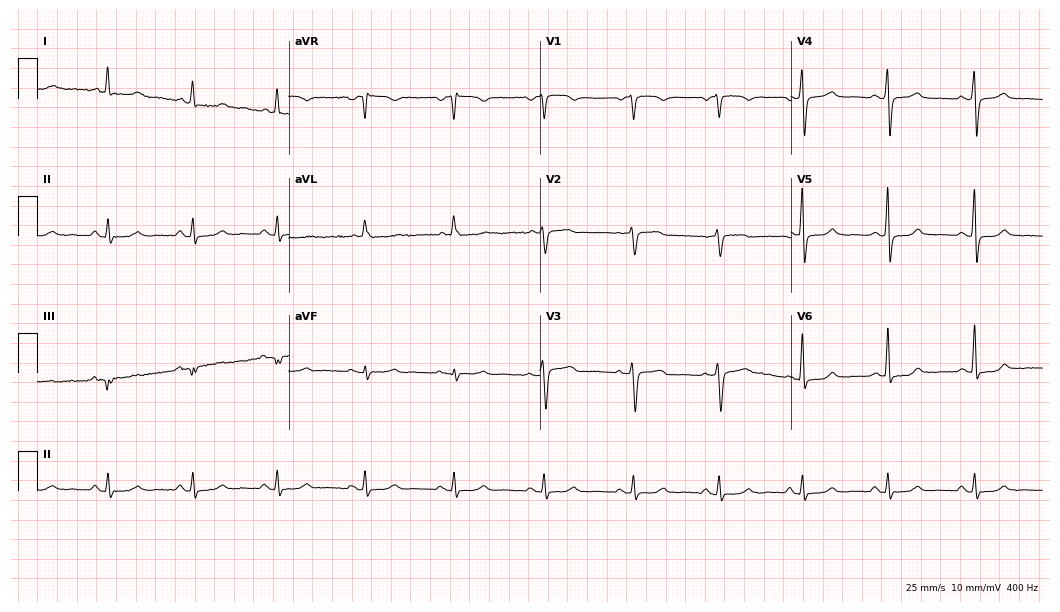
ECG — a 59-year-old female. Screened for six findings — first-degree AV block, right bundle branch block, left bundle branch block, sinus bradycardia, atrial fibrillation, sinus tachycardia — none is recorded. Other findings, if any, are not listed.